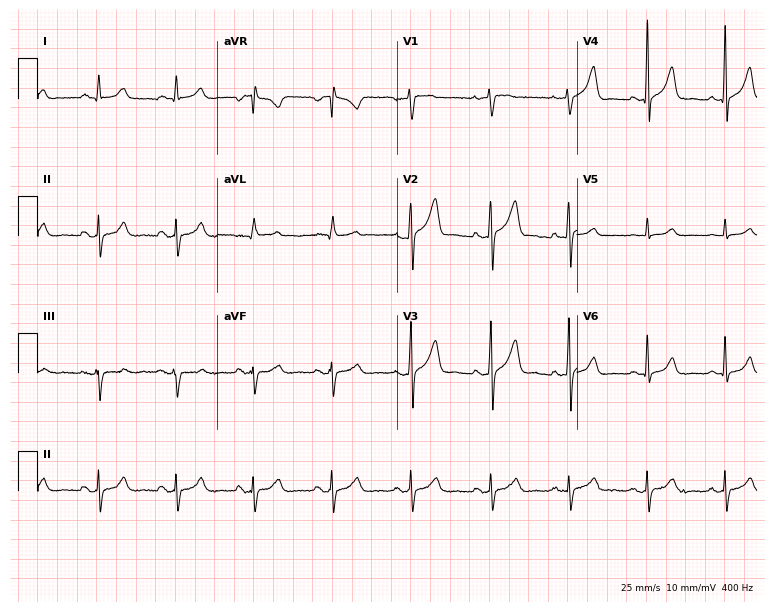
ECG (7.3-second recording at 400 Hz) — a 53-year-old male patient. Screened for six findings — first-degree AV block, right bundle branch block, left bundle branch block, sinus bradycardia, atrial fibrillation, sinus tachycardia — none is recorded. Findings outside these six are not listed.